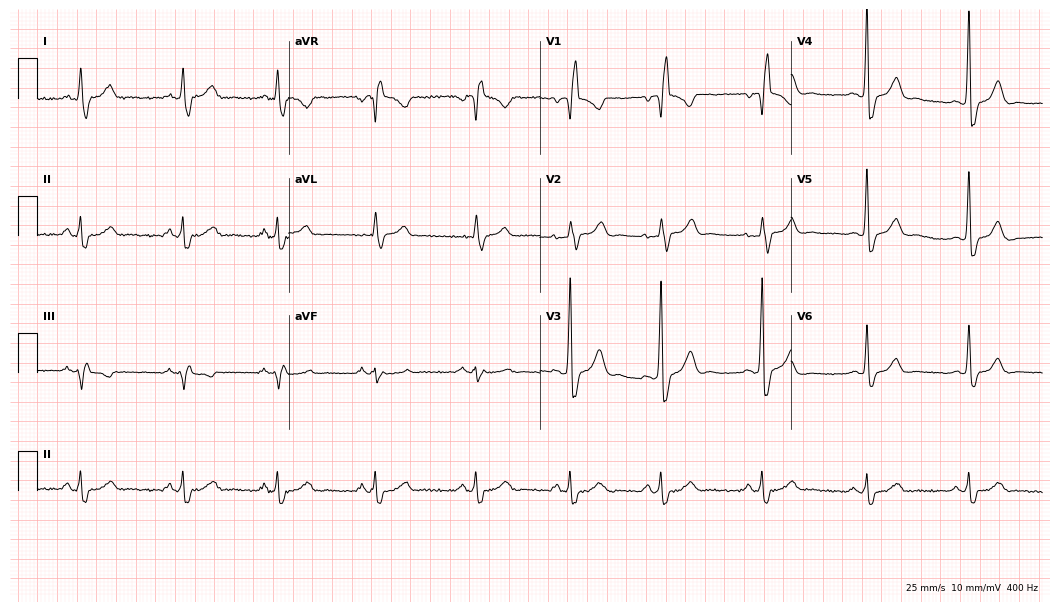
Resting 12-lead electrocardiogram (10.2-second recording at 400 Hz). Patient: a 54-year-old man. None of these six findings is recorded: first-degree AV block, right bundle branch block, left bundle branch block, sinus bradycardia, atrial fibrillation, sinus tachycardia.